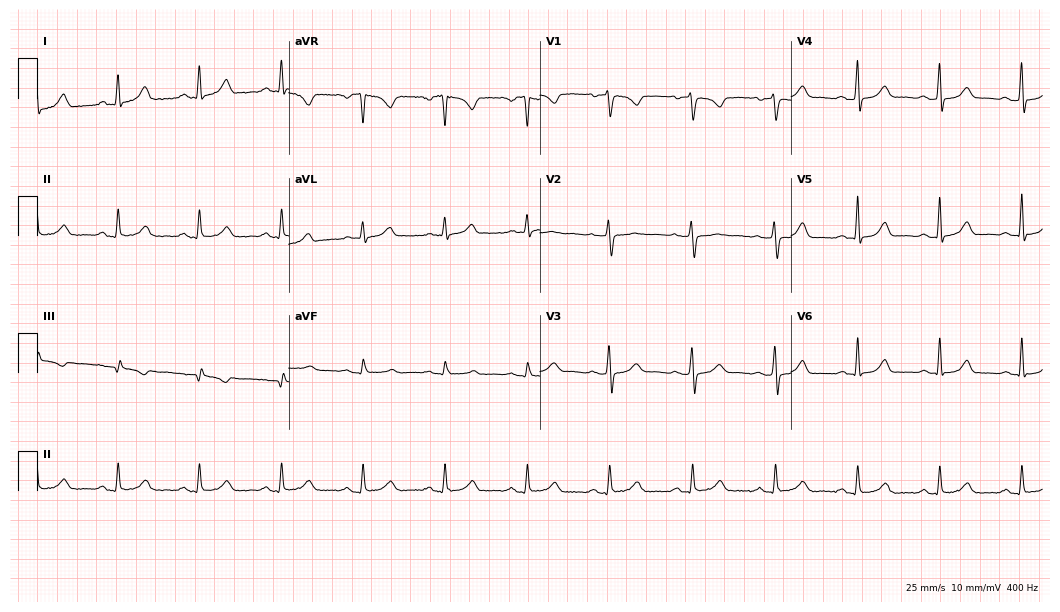
ECG — a 42-year-old female. Labelled as a normal ECG.